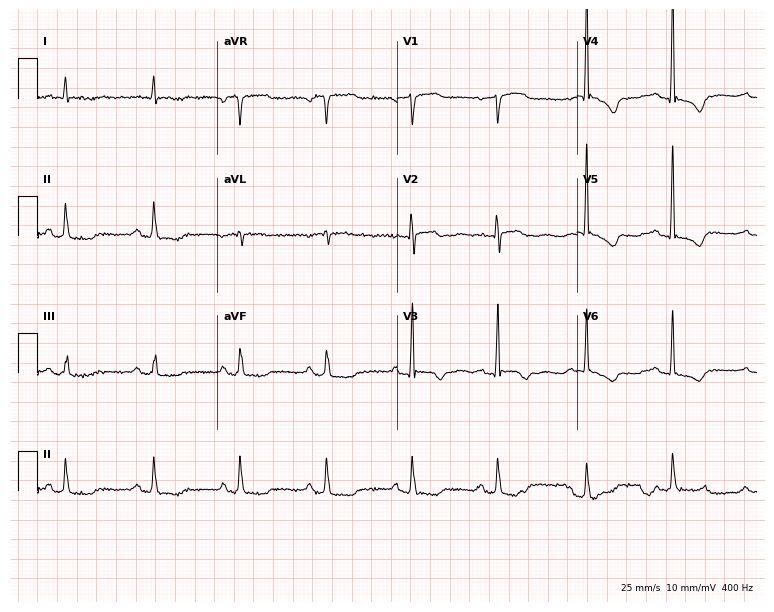
Electrocardiogram, a 72-year-old woman. Of the six screened findings (first-degree AV block, right bundle branch block (RBBB), left bundle branch block (LBBB), sinus bradycardia, atrial fibrillation (AF), sinus tachycardia), none is recorded.